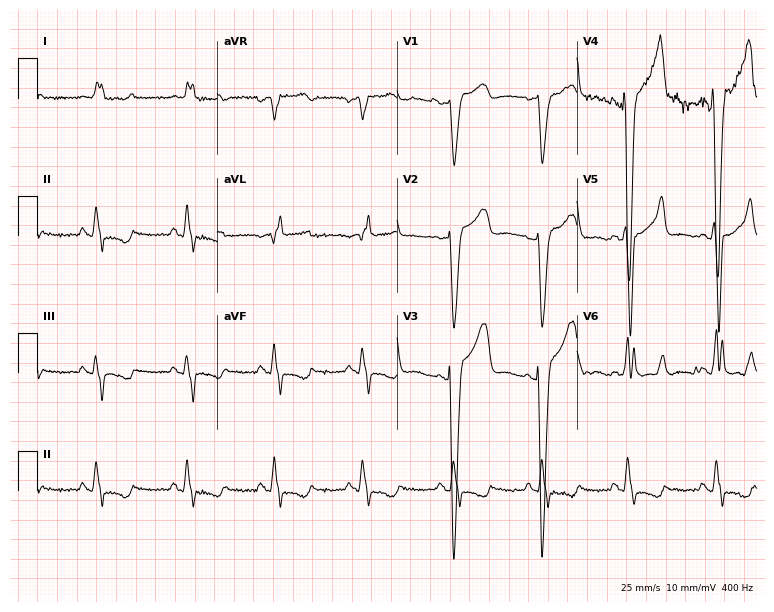
Resting 12-lead electrocardiogram (7.3-second recording at 400 Hz). Patient: a female, 69 years old. None of these six findings is recorded: first-degree AV block, right bundle branch block, left bundle branch block, sinus bradycardia, atrial fibrillation, sinus tachycardia. Only these six findings were labelled.